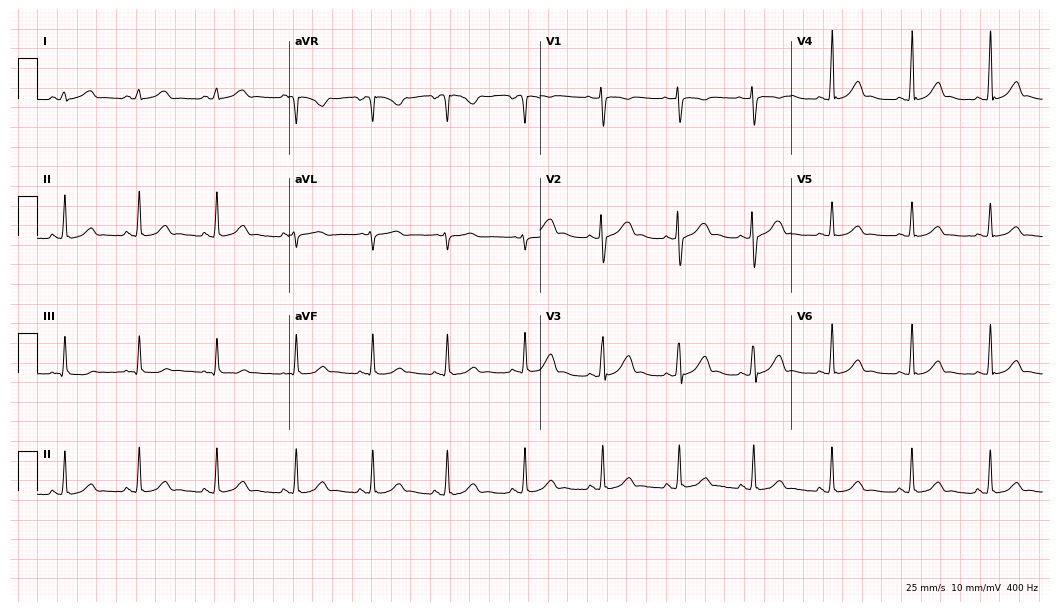
Standard 12-lead ECG recorded from a 27-year-old male patient (10.2-second recording at 400 Hz). Read as a normal ECG.